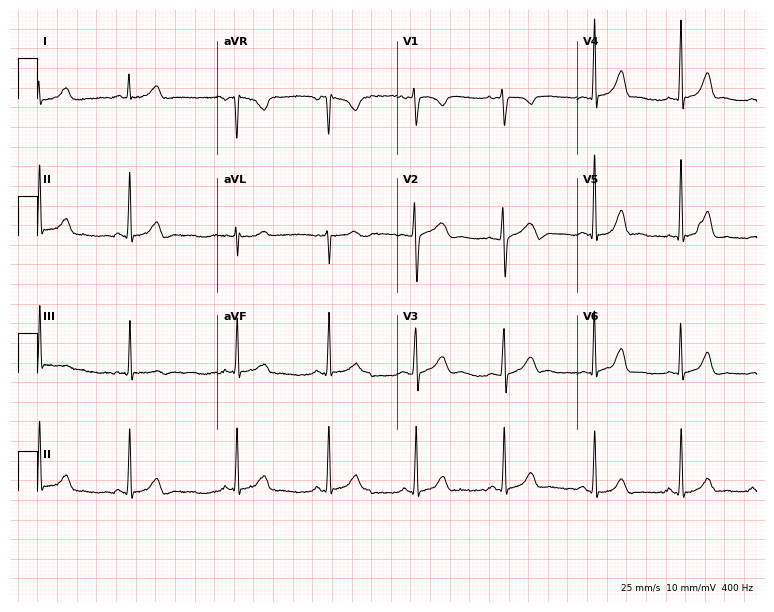
Standard 12-lead ECG recorded from a female, 37 years old (7.3-second recording at 400 Hz). Read as a normal ECG.